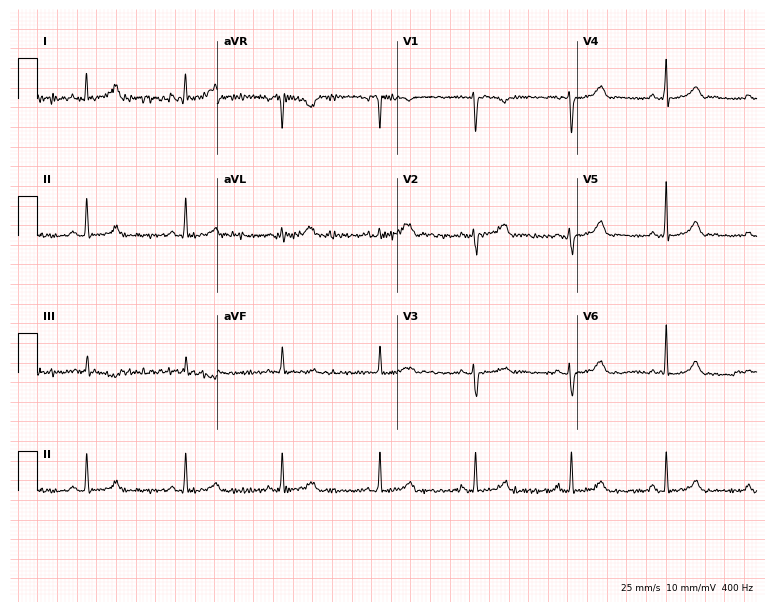
Resting 12-lead electrocardiogram (7.3-second recording at 400 Hz). Patient: a 46-year-old female. Read as a normal ECG.